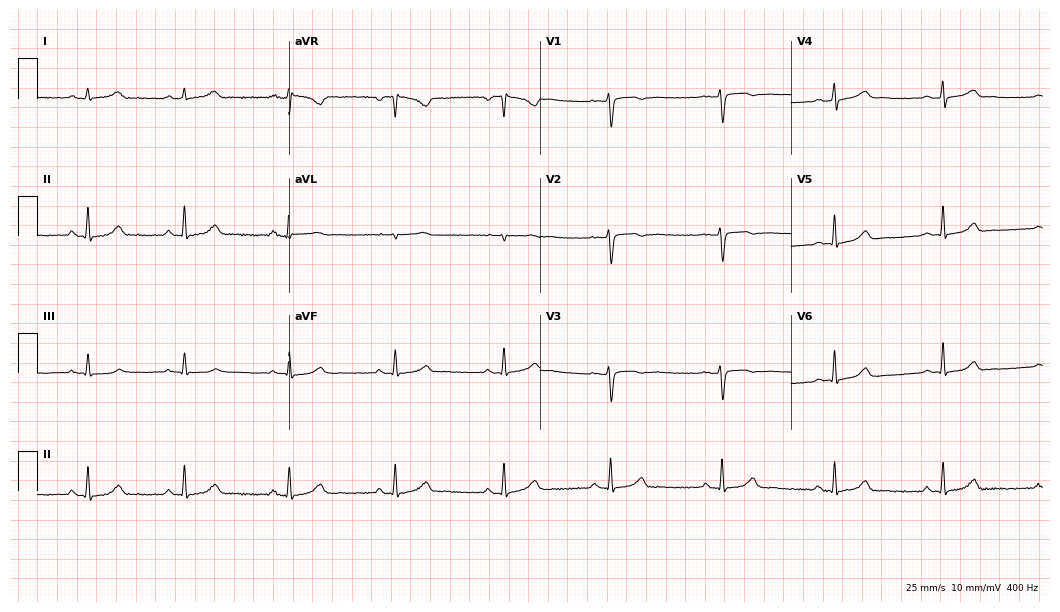
Electrocardiogram (10.2-second recording at 400 Hz), a 45-year-old female. Overall reading on record: normal ECG.